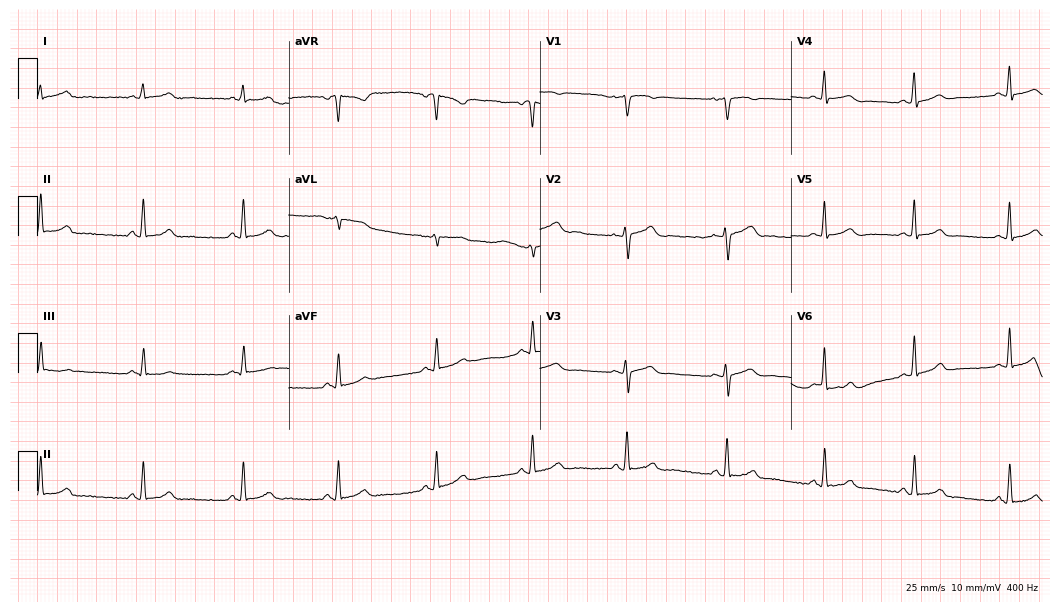
Electrocardiogram, a 24-year-old female patient. Overall reading on record: normal ECG.